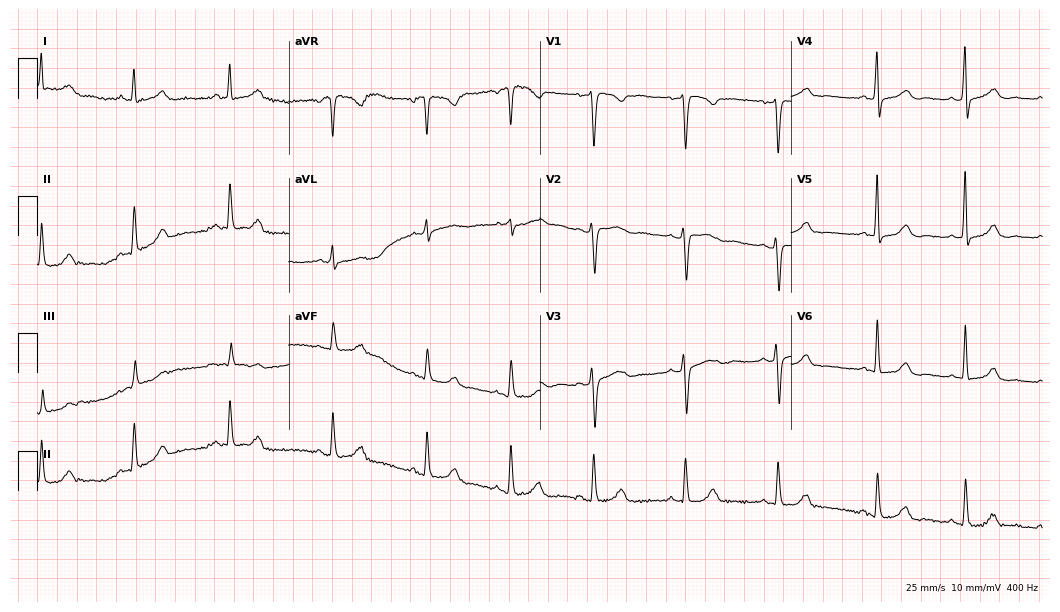
12-lead ECG from a female patient, 37 years old. No first-degree AV block, right bundle branch block, left bundle branch block, sinus bradycardia, atrial fibrillation or sinus tachycardia recorded for this tracing.